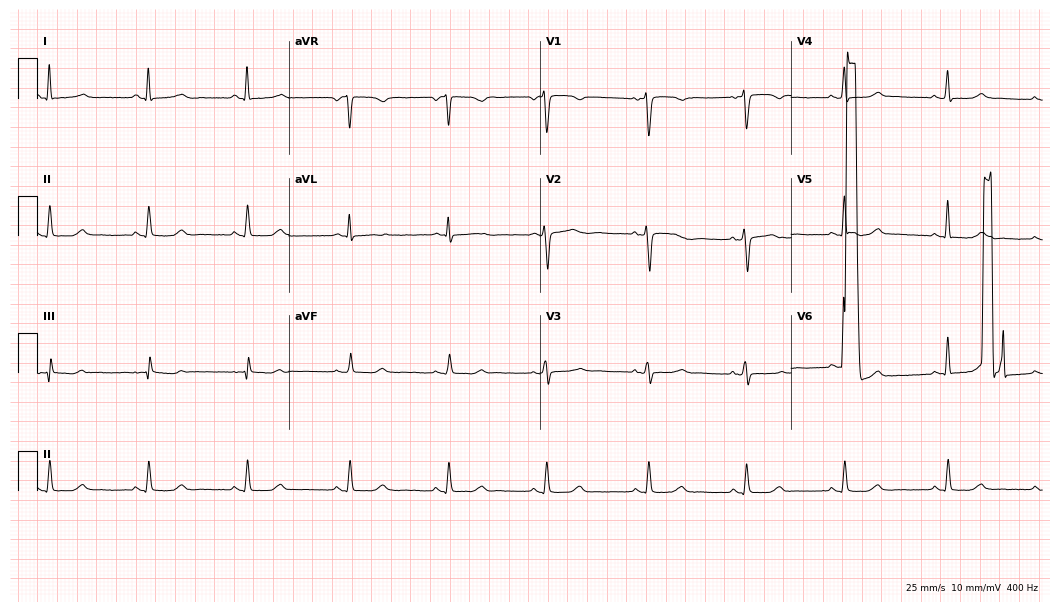
Resting 12-lead electrocardiogram (10.2-second recording at 400 Hz). Patient: a 45-year-old female. Read as a normal ECG.